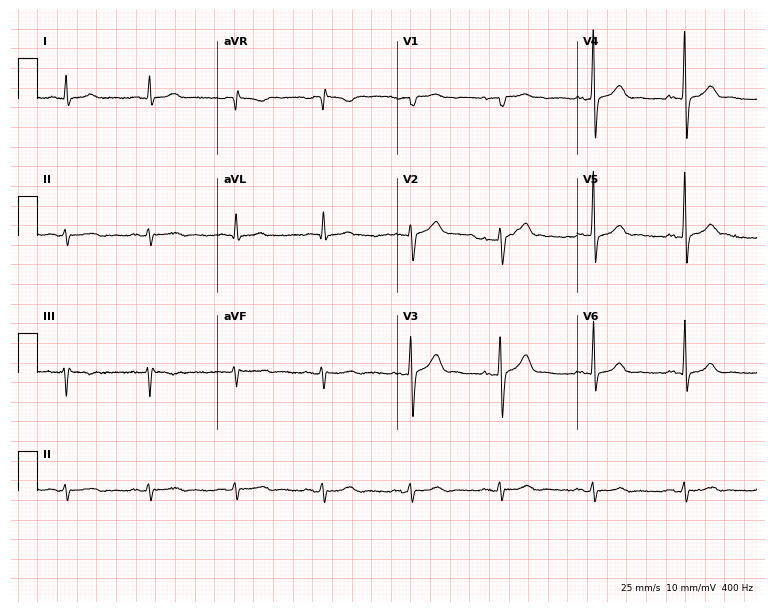
12-lead ECG from a male patient, 59 years old. No first-degree AV block, right bundle branch block, left bundle branch block, sinus bradycardia, atrial fibrillation or sinus tachycardia recorded for this tracing.